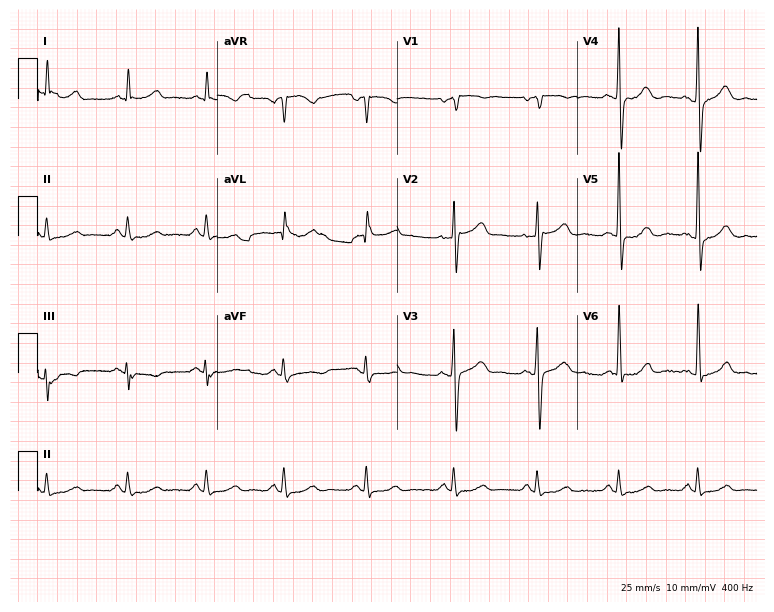
12-lead ECG from a 66-year-old male (7.3-second recording at 400 Hz). Recorded interpretation: within normal limits.